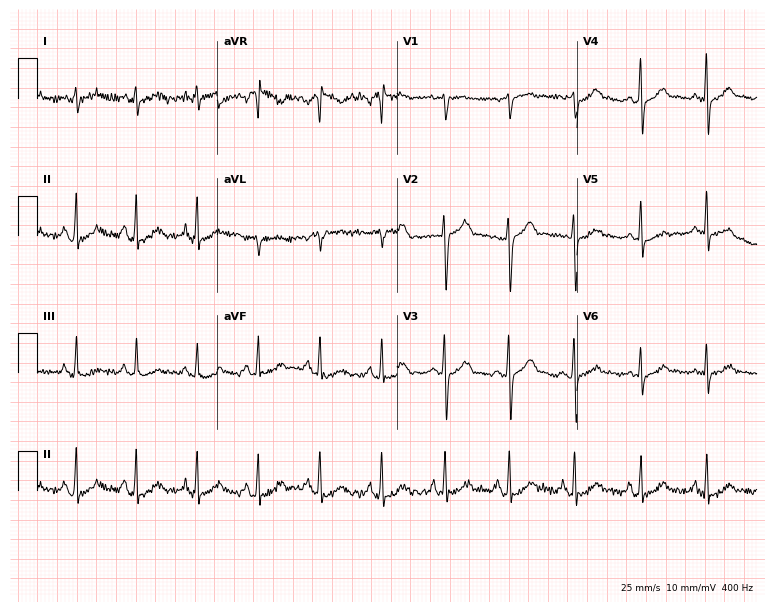
Standard 12-lead ECG recorded from a male patient, 46 years old. Read as a normal ECG.